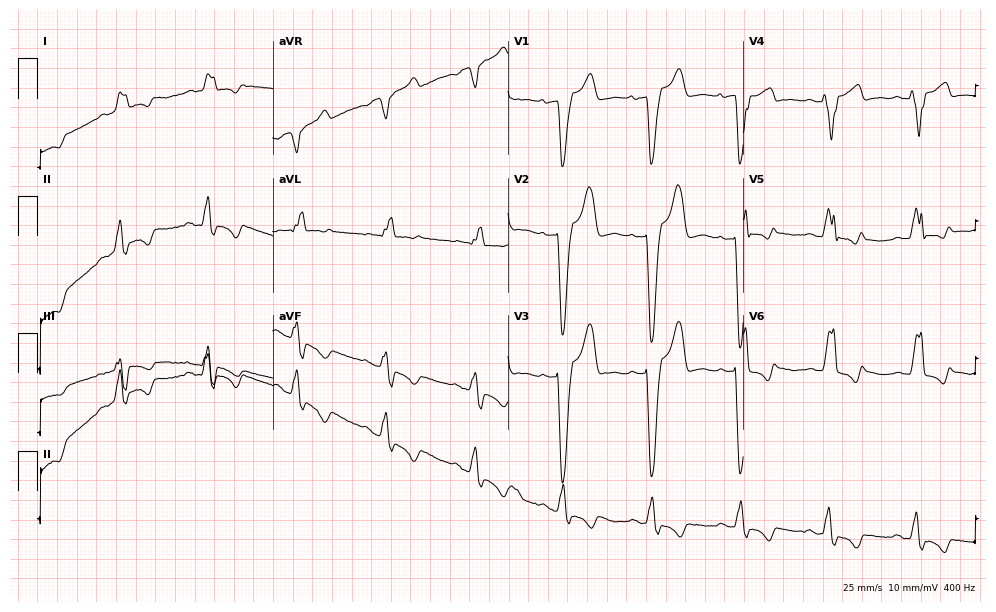
Electrocardiogram (9.6-second recording at 400 Hz), an 88-year-old man. Of the six screened findings (first-degree AV block, right bundle branch block, left bundle branch block, sinus bradycardia, atrial fibrillation, sinus tachycardia), none is recorded.